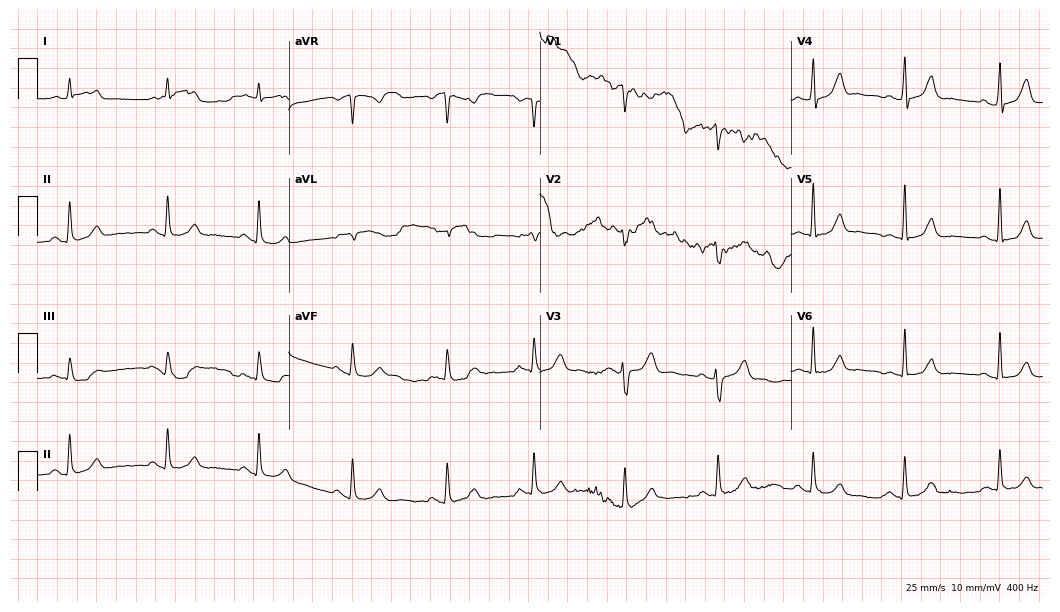
ECG (10.2-second recording at 400 Hz) — a 48-year-old male patient. Labelled as a normal ECG.